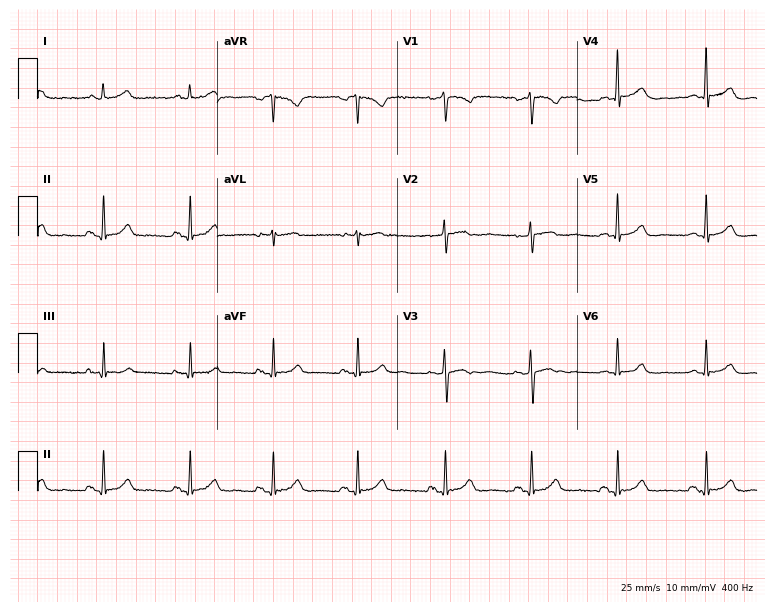
12-lead ECG (7.3-second recording at 400 Hz) from a female, 46 years old. Labelled as a normal ECG.